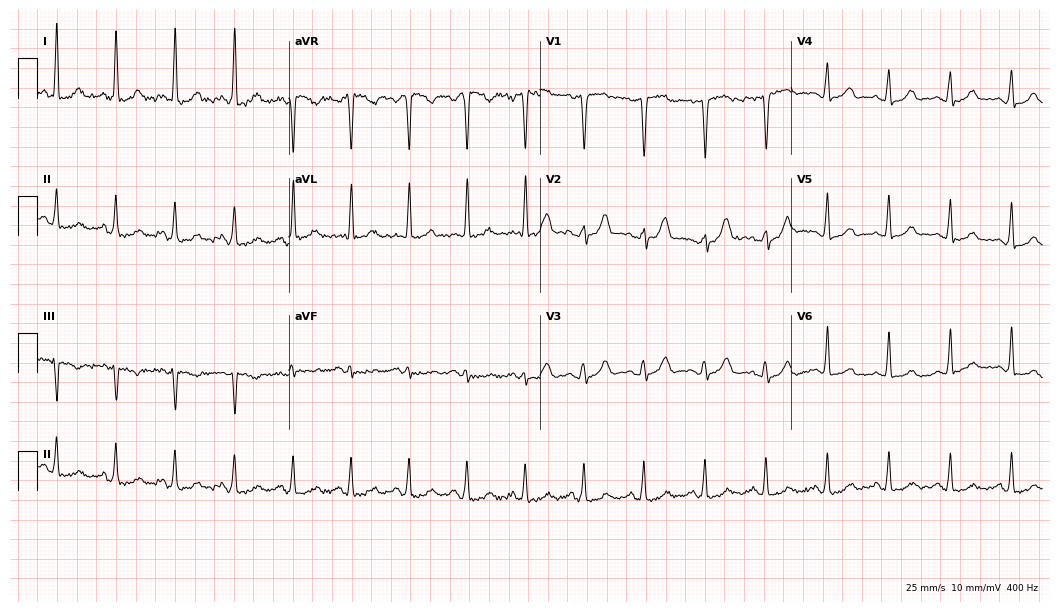
12-lead ECG from a 44-year-old woman. No first-degree AV block, right bundle branch block, left bundle branch block, sinus bradycardia, atrial fibrillation or sinus tachycardia recorded for this tracing. Findings outside these six are not listed.